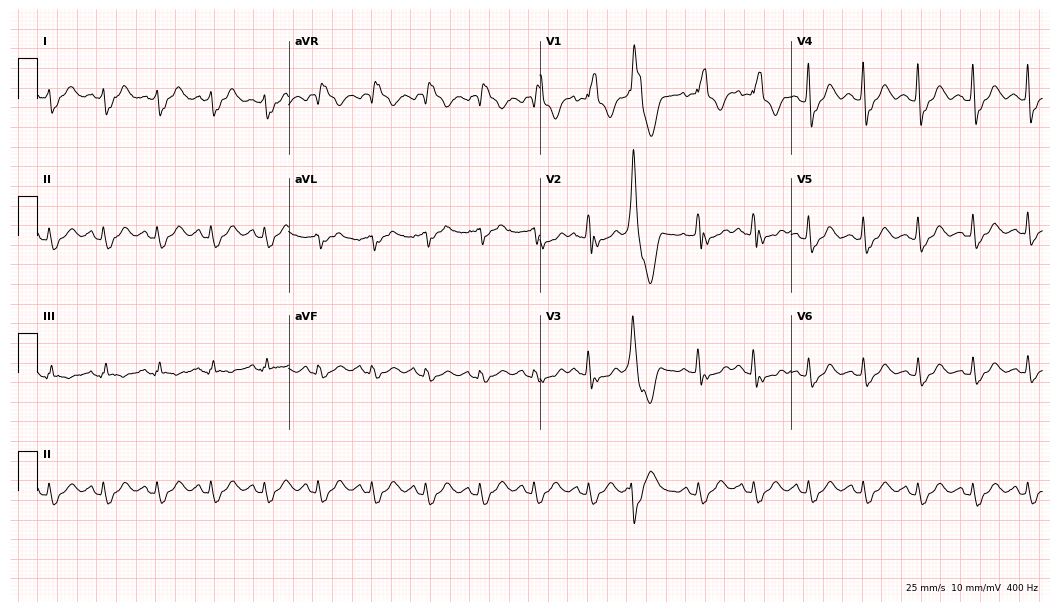
12-lead ECG from a female, 73 years old. Findings include right bundle branch block, sinus tachycardia (a sinus rate of 100 beats per minute or more).